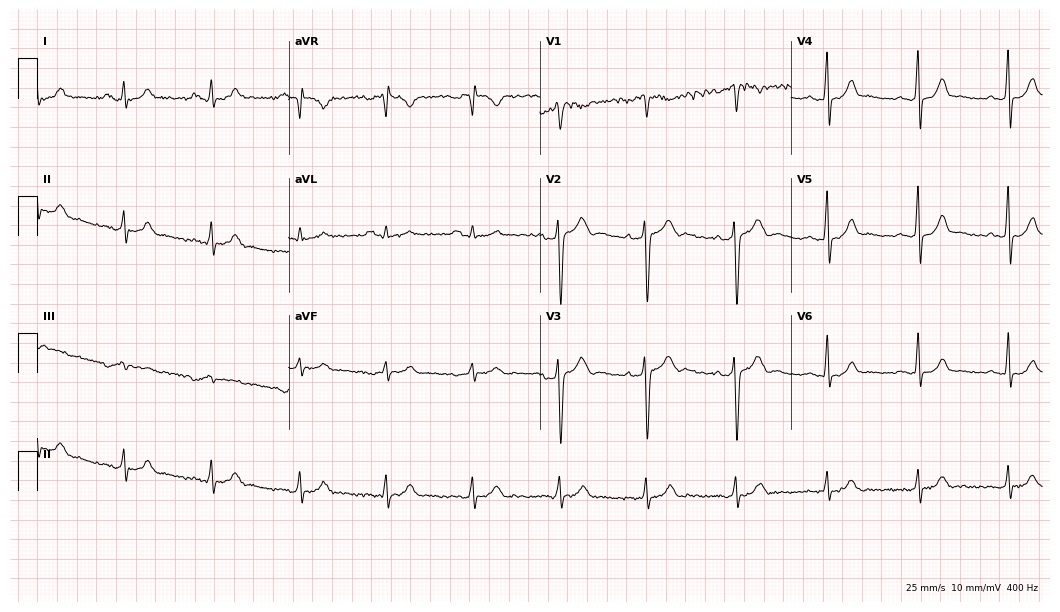
Resting 12-lead electrocardiogram. Patient: a male, 29 years old. None of these six findings is recorded: first-degree AV block, right bundle branch block (RBBB), left bundle branch block (LBBB), sinus bradycardia, atrial fibrillation (AF), sinus tachycardia. Findings outside these six are not listed.